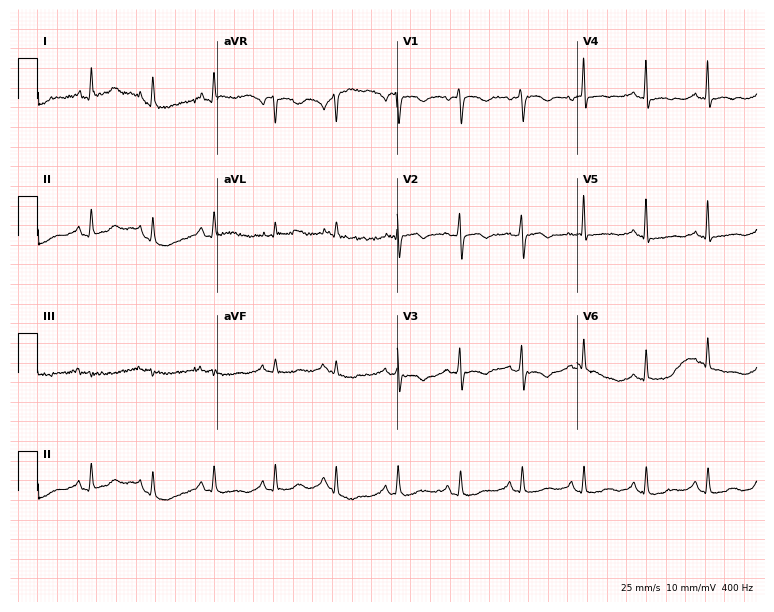
Resting 12-lead electrocardiogram. Patient: a 77-year-old female. Read as a normal ECG.